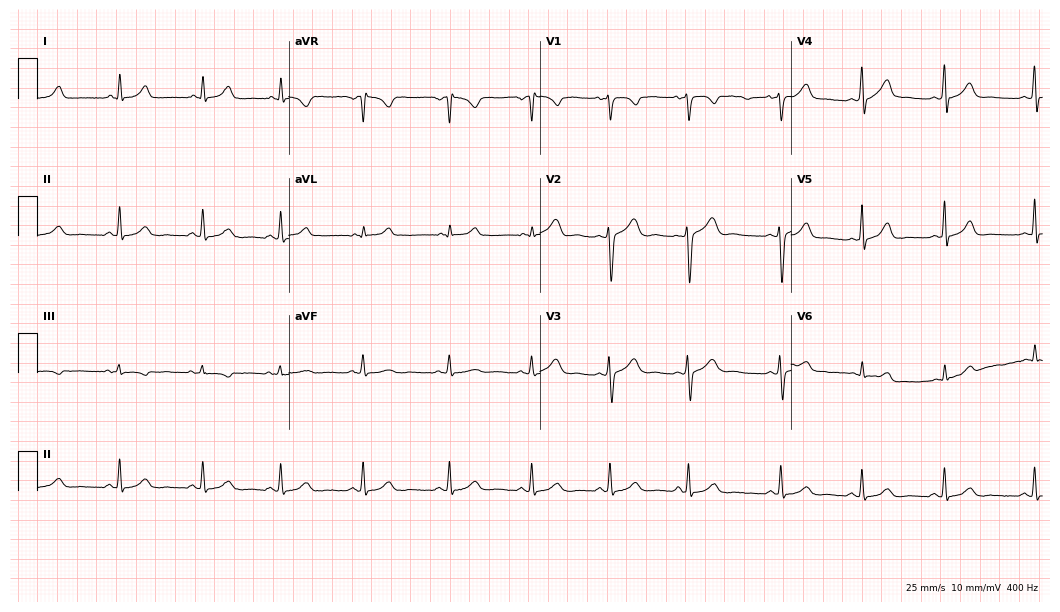
12-lead ECG from a female, 25 years old (10.2-second recording at 400 Hz). Recorded interpretation: within normal limits.